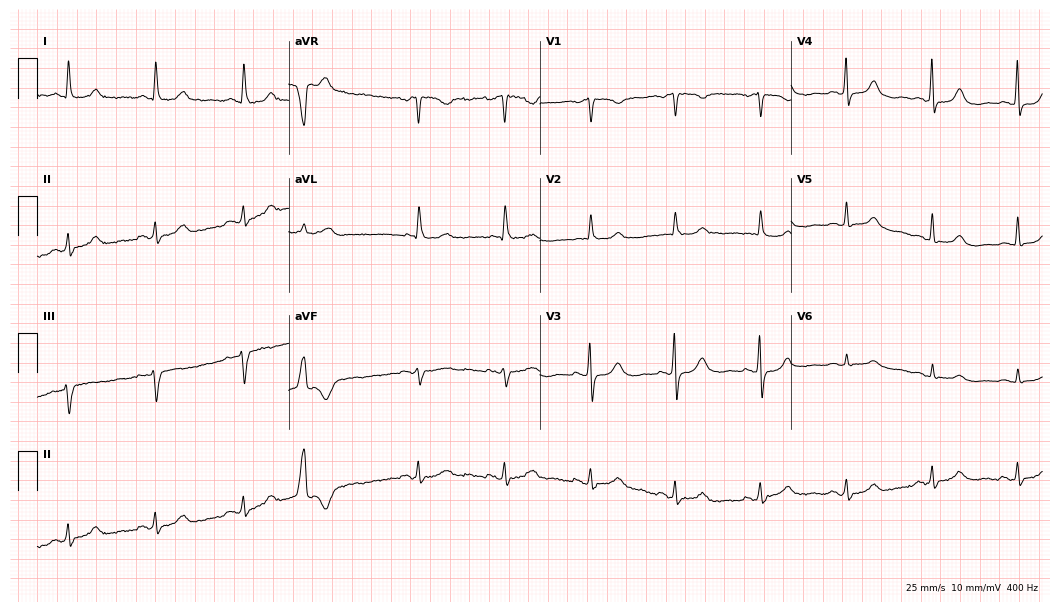
Standard 12-lead ECG recorded from an 84-year-old female. None of these six findings is recorded: first-degree AV block, right bundle branch block (RBBB), left bundle branch block (LBBB), sinus bradycardia, atrial fibrillation (AF), sinus tachycardia. Other findings, if any, are not listed.